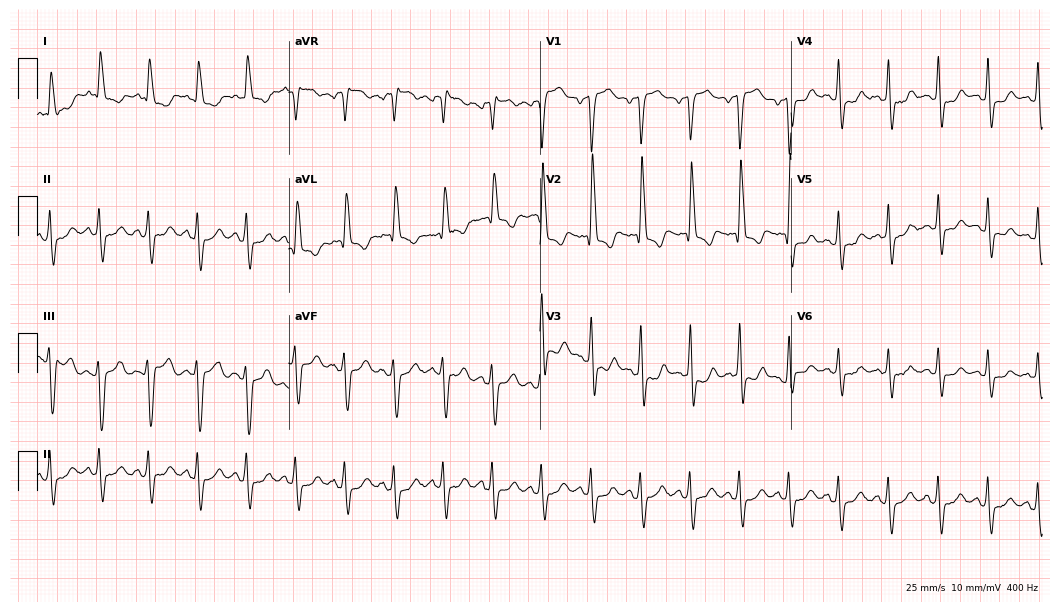
Electrocardiogram (10.2-second recording at 400 Hz), a 76-year-old male patient. Of the six screened findings (first-degree AV block, right bundle branch block, left bundle branch block, sinus bradycardia, atrial fibrillation, sinus tachycardia), none is recorded. Findings outside these six are not listed.